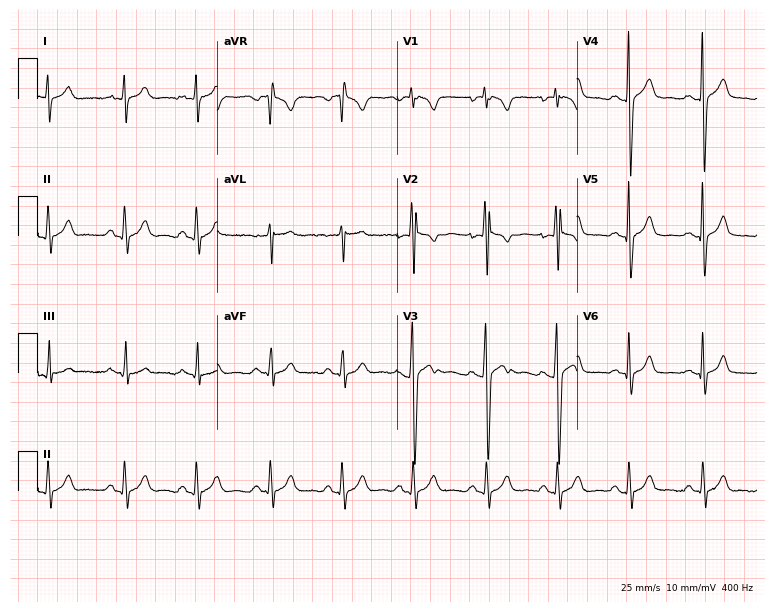
ECG (7.3-second recording at 400 Hz) — a 21-year-old male. Labelled as a normal ECG.